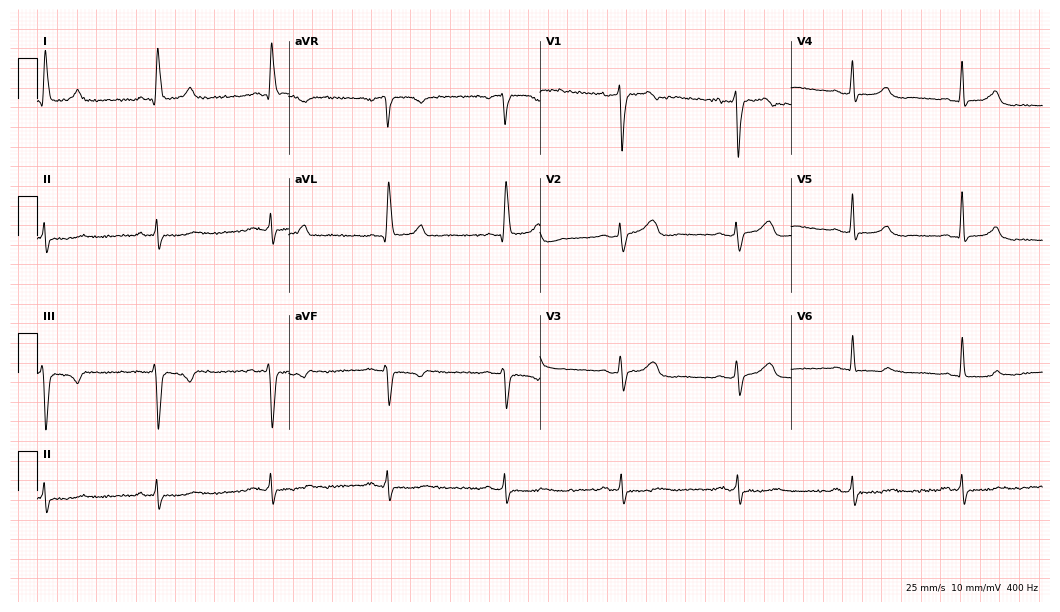
Standard 12-lead ECG recorded from a female, 66 years old (10.2-second recording at 400 Hz). None of these six findings is recorded: first-degree AV block, right bundle branch block, left bundle branch block, sinus bradycardia, atrial fibrillation, sinus tachycardia.